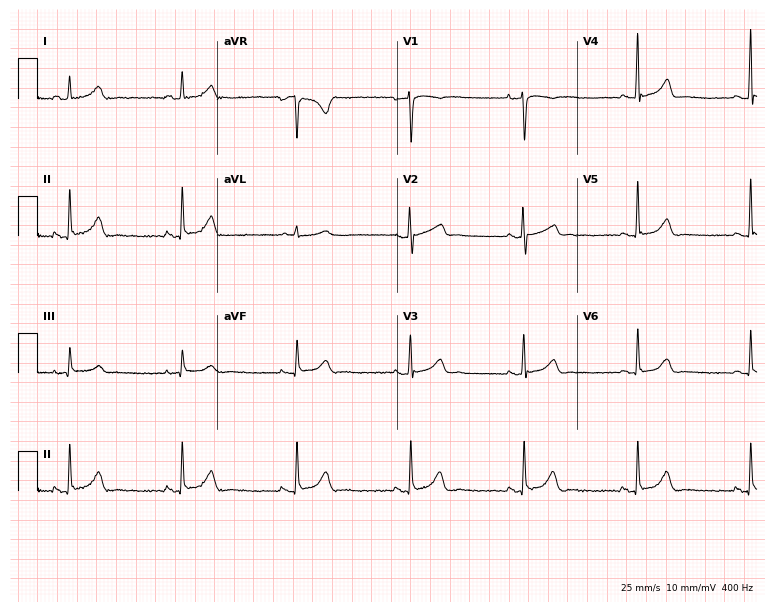
12-lead ECG from a woman, 38 years old. Screened for six findings — first-degree AV block, right bundle branch block, left bundle branch block, sinus bradycardia, atrial fibrillation, sinus tachycardia — none is recorded.